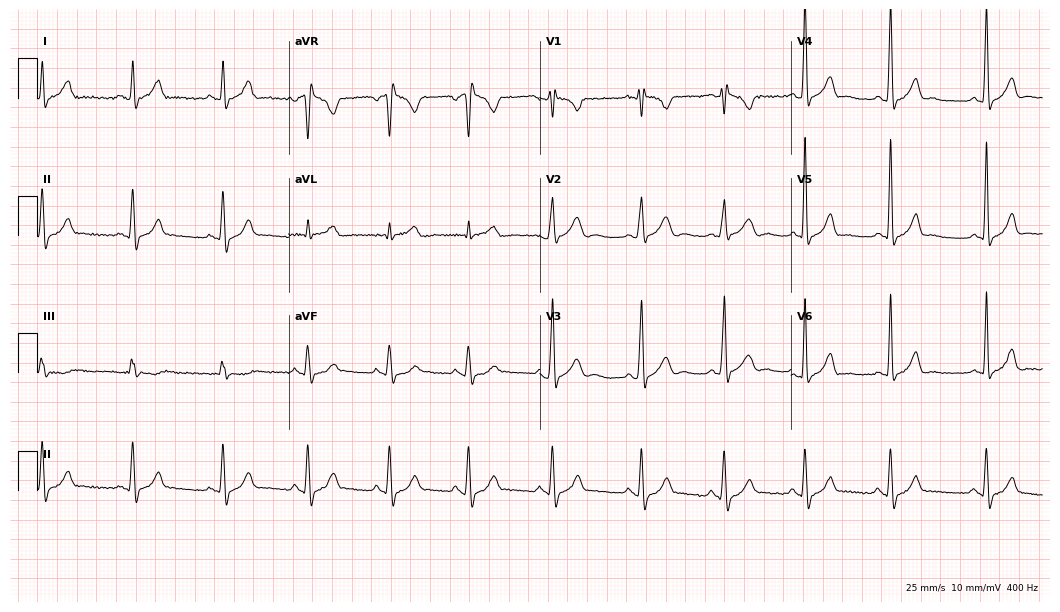
Electrocardiogram, a male patient, 30 years old. Of the six screened findings (first-degree AV block, right bundle branch block (RBBB), left bundle branch block (LBBB), sinus bradycardia, atrial fibrillation (AF), sinus tachycardia), none is recorded. Only these six findings were labelled.